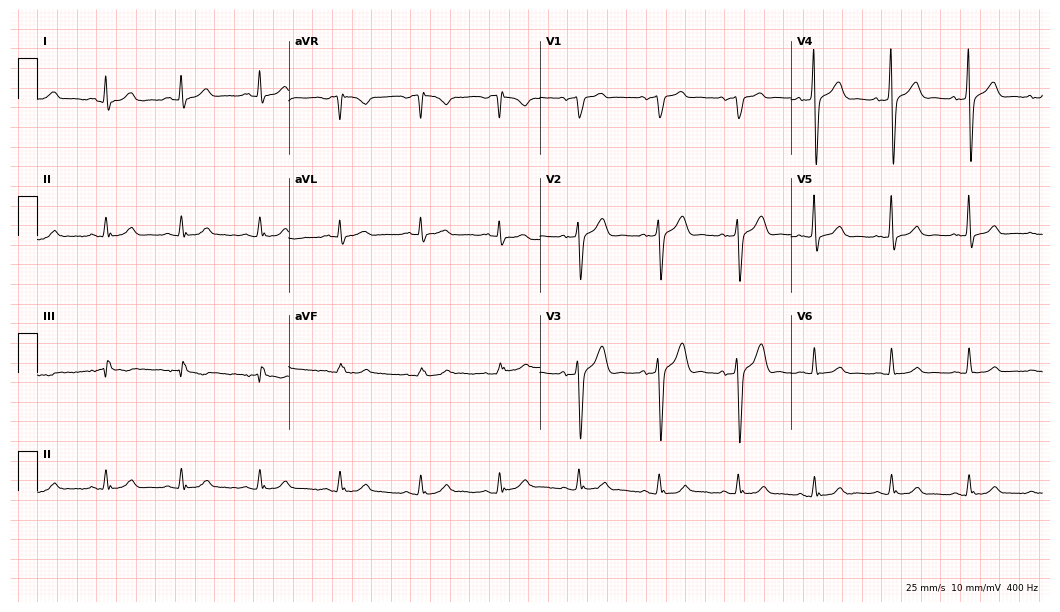
12-lead ECG (10.2-second recording at 400 Hz) from a man, 43 years old. Labelled as a normal ECG.